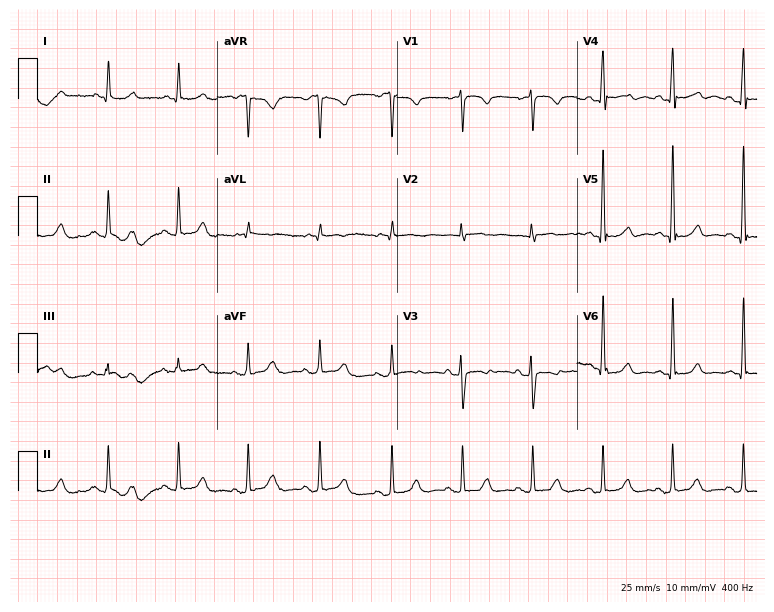
12-lead ECG from a woman, 59 years old. Screened for six findings — first-degree AV block, right bundle branch block (RBBB), left bundle branch block (LBBB), sinus bradycardia, atrial fibrillation (AF), sinus tachycardia — none is recorded.